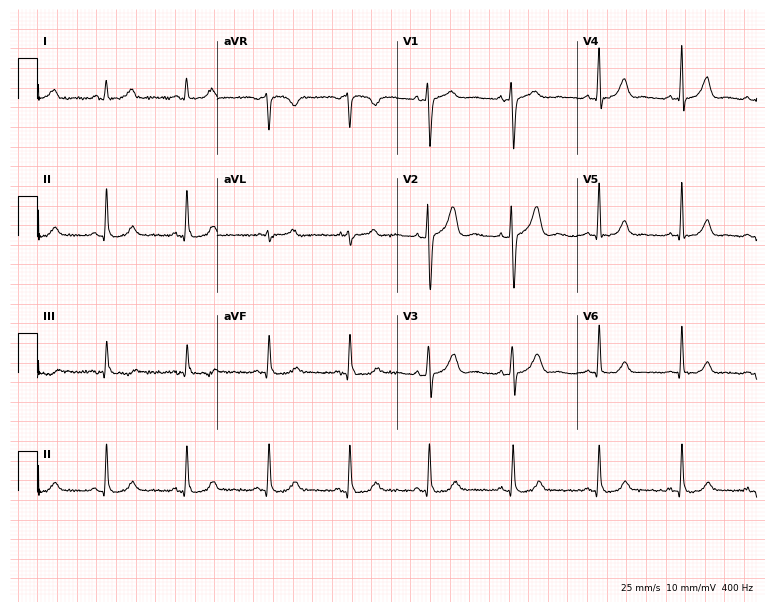
Standard 12-lead ECG recorded from a female, 36 years old. None of these six findings is recorded: first-degree AV block, right bundle branch block (RBBB), left bundle branch block (LBBB), sinus bradycardia, atrial fibrillation (AF), sinus tachycardia. Findings outside these six are not listed.